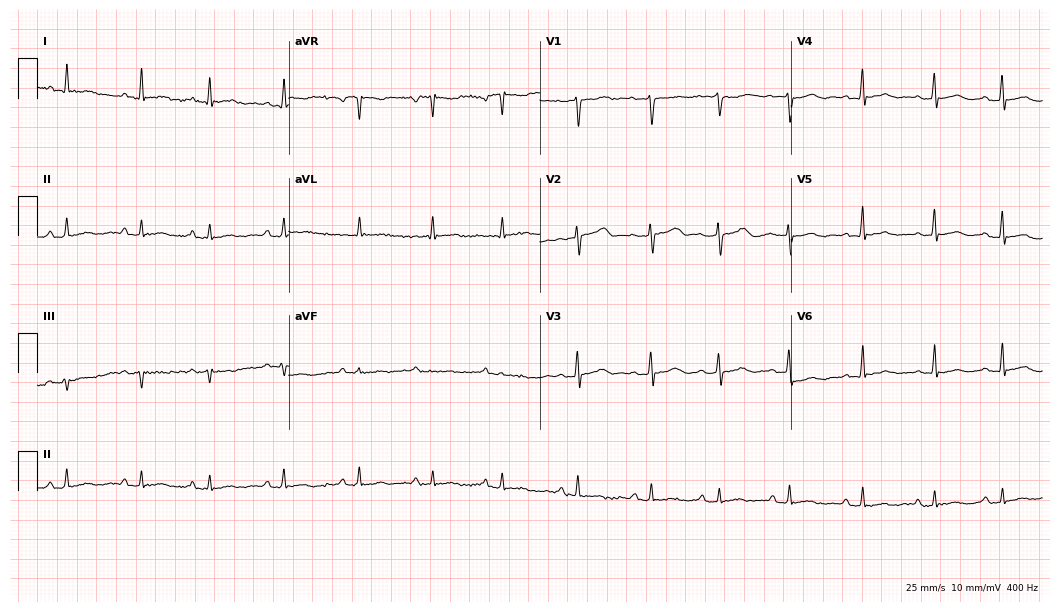
Electrocardiogram, a 63-year-old female. Of the six screened findings (first-degree AV block, right bundle branch block, left bundle branch block, sinus bradycardia, atrial fibrillation, sinus tachycardia), none is recorded.